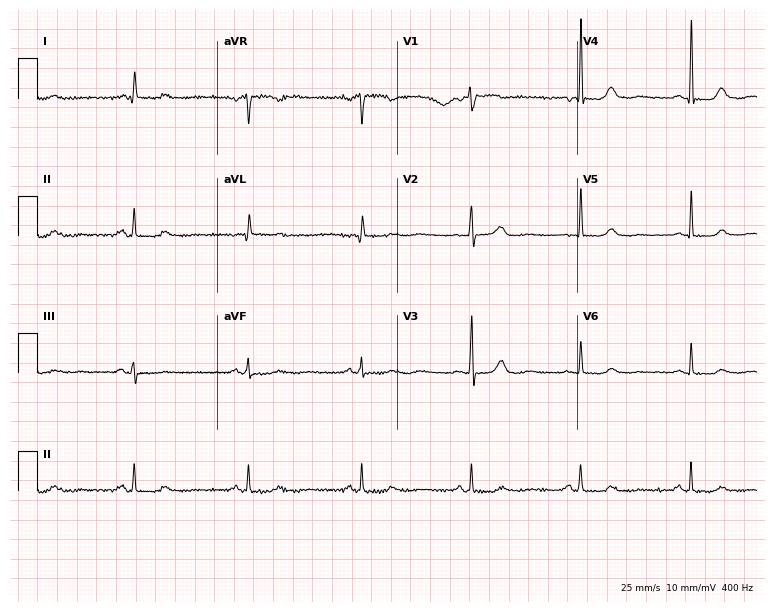
Electrocardiogram, a 68-year-old female patient. Of the six screened findings (first-degree AV block, right bundle branch block, left bundle branch block, sinus bradycardia, atrial fibrillation, sinus tachycardia), none is recorded. Other findings, if any, are not listed.